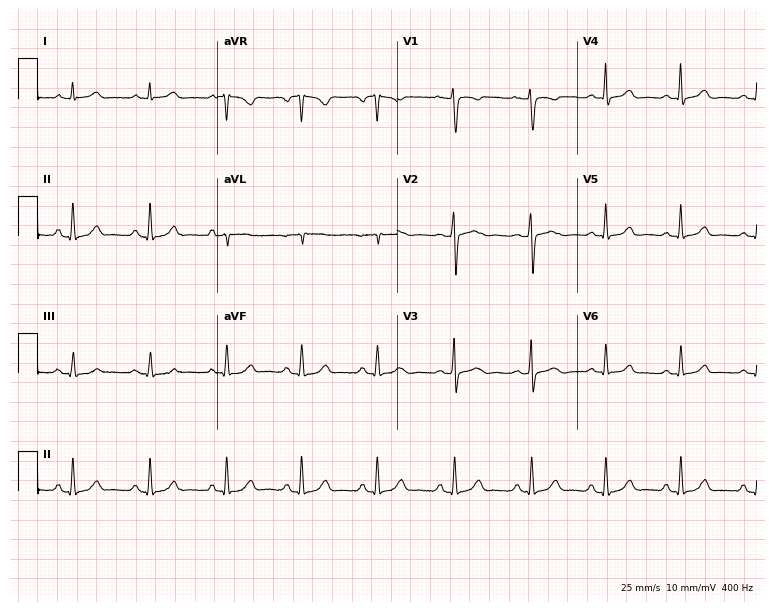
12-lead ECG from a 39-year-old female. Recorded interpretation: within normal limits.